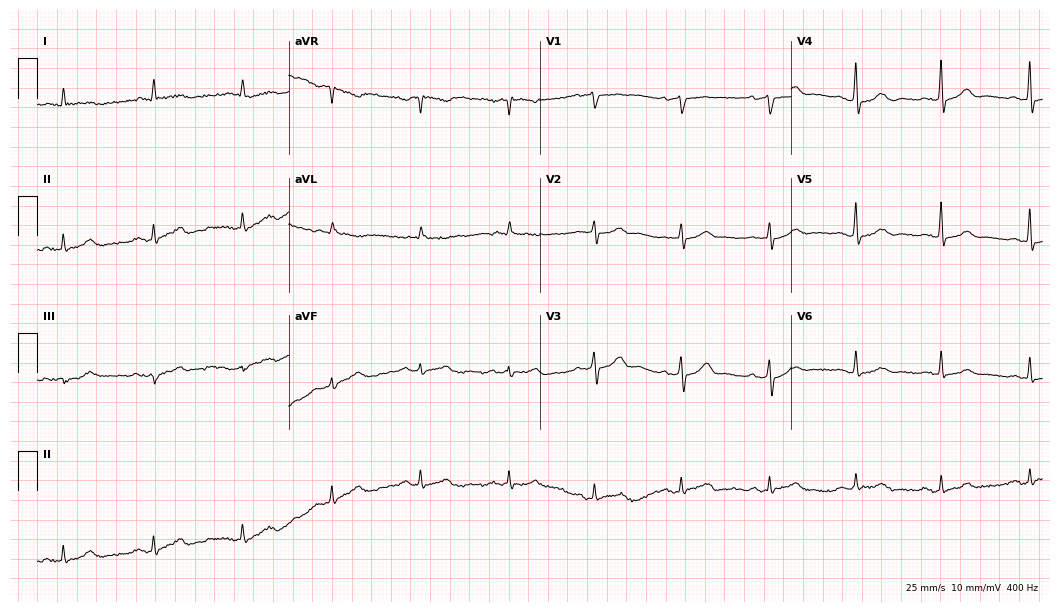
Electrocardiogram, a 72-year-old female patient. Of the six screened findings (first-degree AV block, right bundle branch block, left bundle branch block, sinus bradycardia, atrial fibrillation, sinus tachycardia), none is recorded.